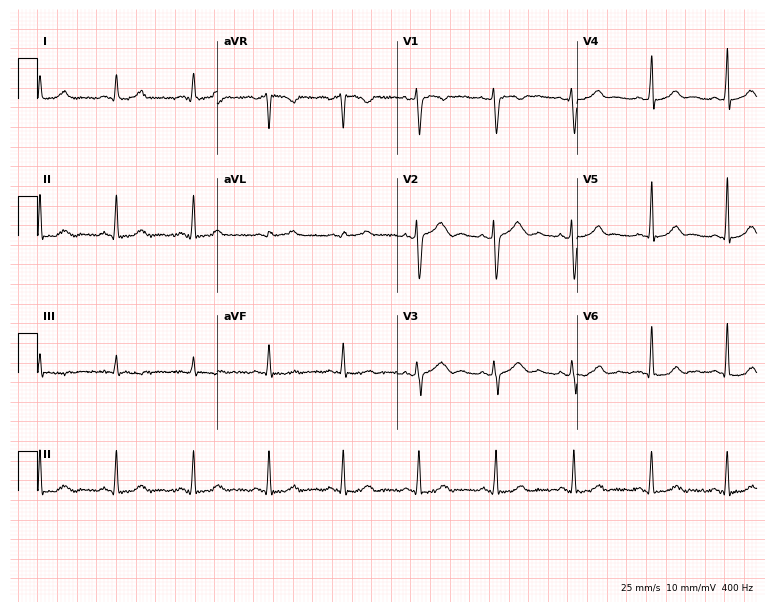
Standard 12-lead ECG recorded from a 34-year-old woman. Read as a normal ECG.